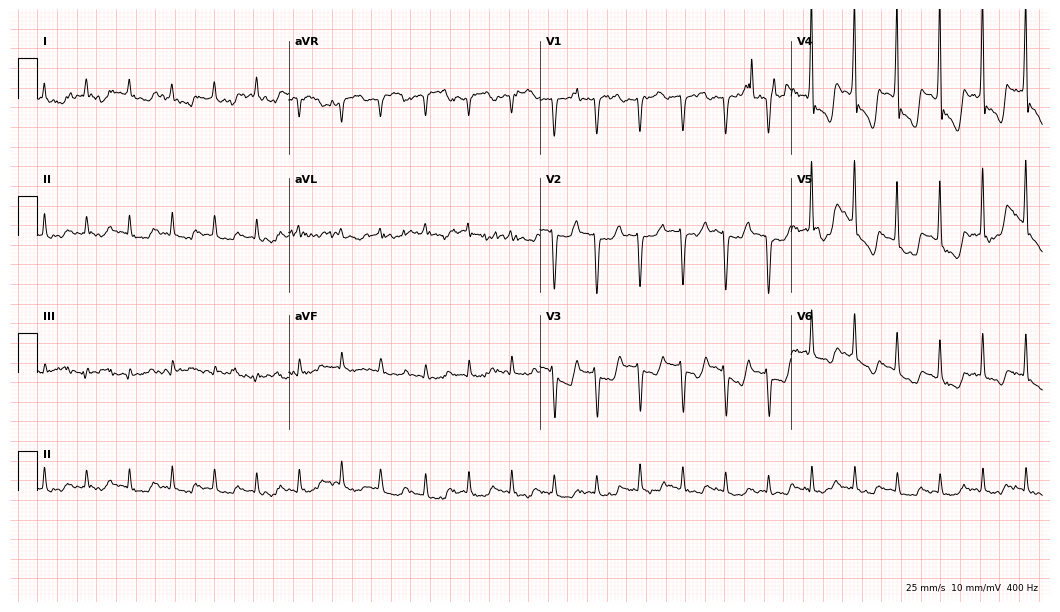
12-lead ECG from an 85-year-old male patient. Shows sinus tachycardia (a sinus rate of 100 beats per minute or more).